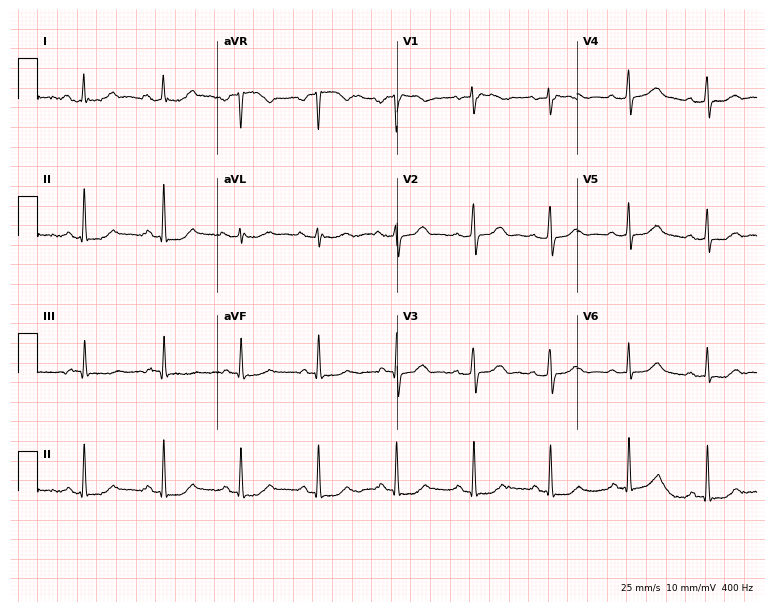
Standard 12-lead ECG recorded from a 67-year-old female (7.3-second recording at 400 Hz). None of these six findings is recorded: first-degree AV block, right bundle branch block, left bundle branch block, sinus bradycardia, atrial fibrillation, sinus tachycardia. Other findings, if any, are not listed.